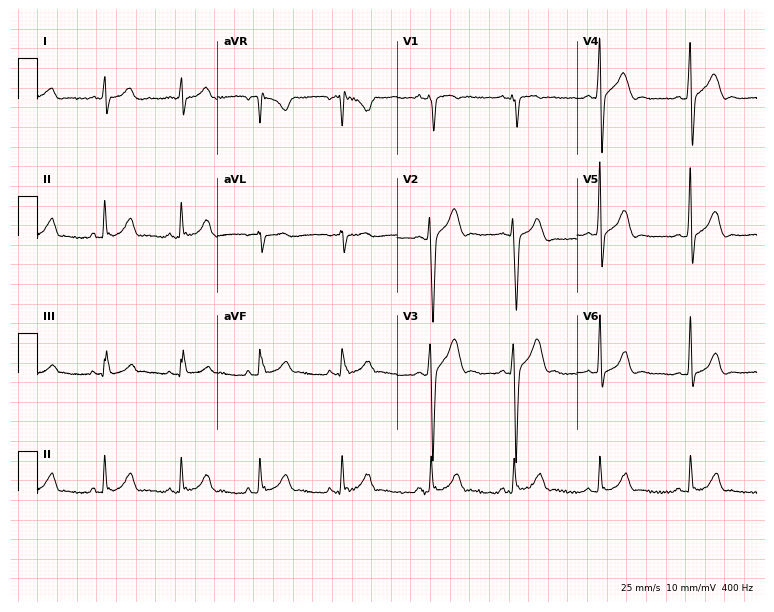
Electrocardiogram, a 19-year-old man. Overall reading on record: normal ECG.